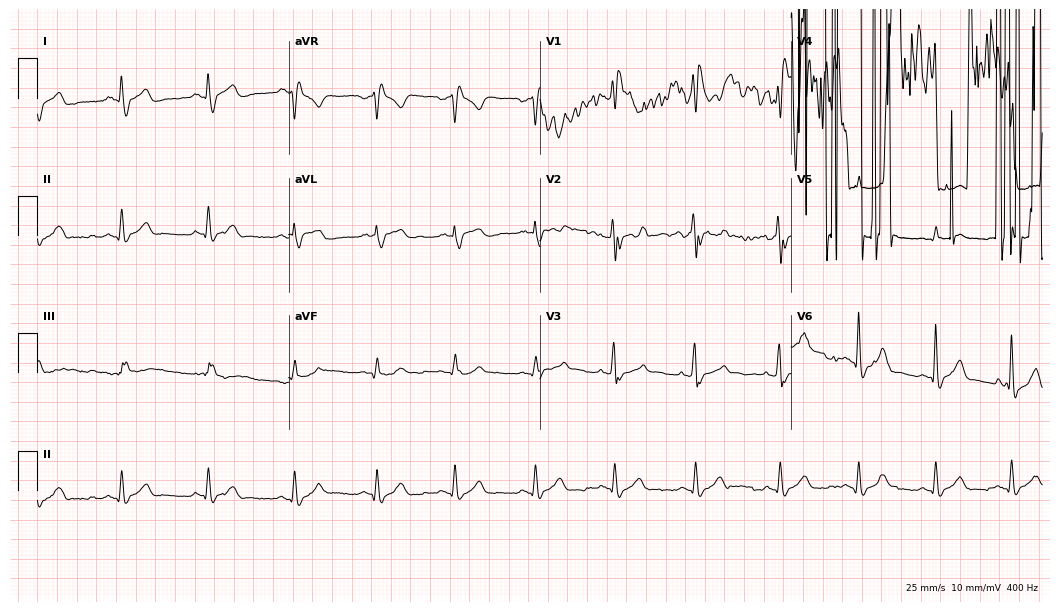
Electrocardiogram, a 39-year-old male. Of the six screened findings (first-degree AV block, right bundle branch block (RBBB), left bundle branch block (LBBB), sinus bradycardia, atrial fibrillation (AF), sinus tachycardia), none is recorded. Only these six findings were labelled.